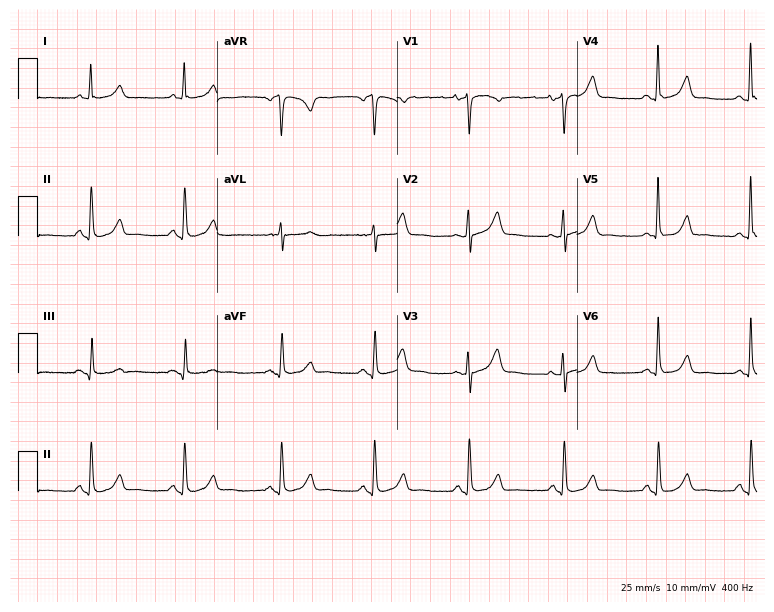
Standard 12-lead ECG recorded from an 80-year-old female (7.3-second recording at 400 Hz). Read as a normal ECG.